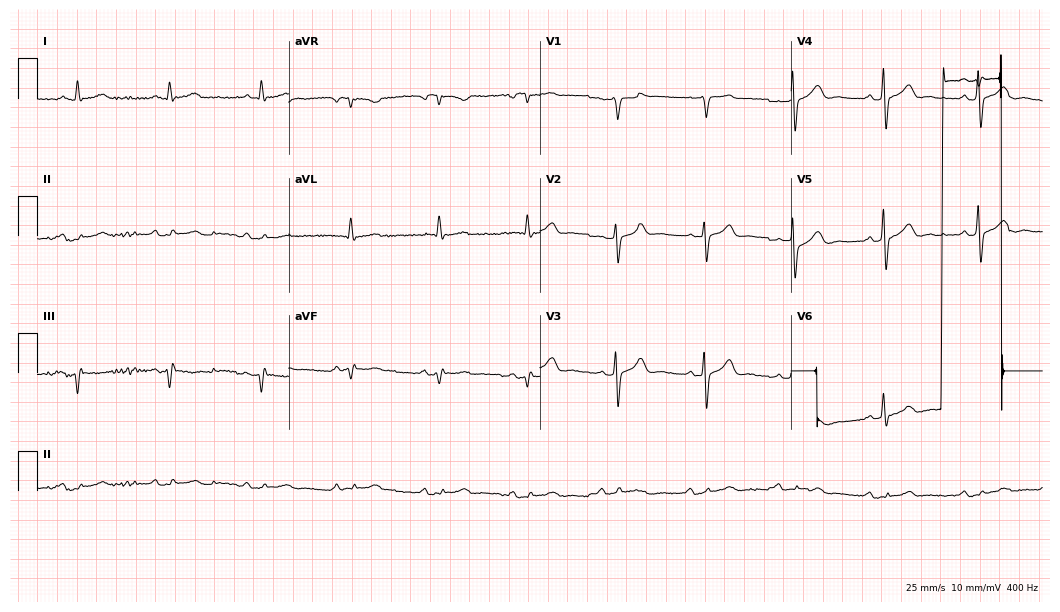
Electrocardiogram (10.2-second recording at 400 Hz), a 67-year-old male. Of the six screened findings (first-degree AV block, right bundle branch block, left bundle branch block, sinus bradycardia, atrial fibrillation, sinus tachycardia), none is recorded. Only these six findings were labelled.